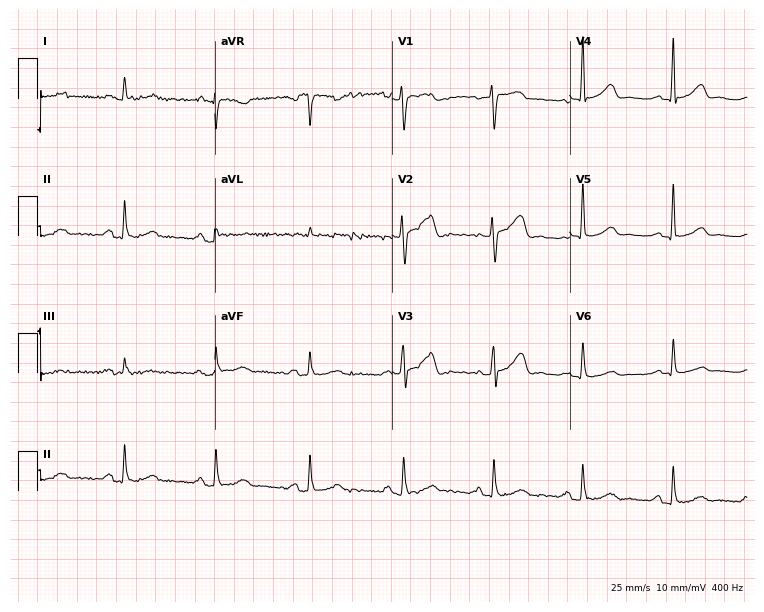
12-lead ECG from a female, 52 years old. No first-degree AV block, right bundle branch block, left bundle branch block, sinus bradycardia, atrial fibrillation or sinus tachycardia recorded for this tracing. Other findings, if any, are not listed.